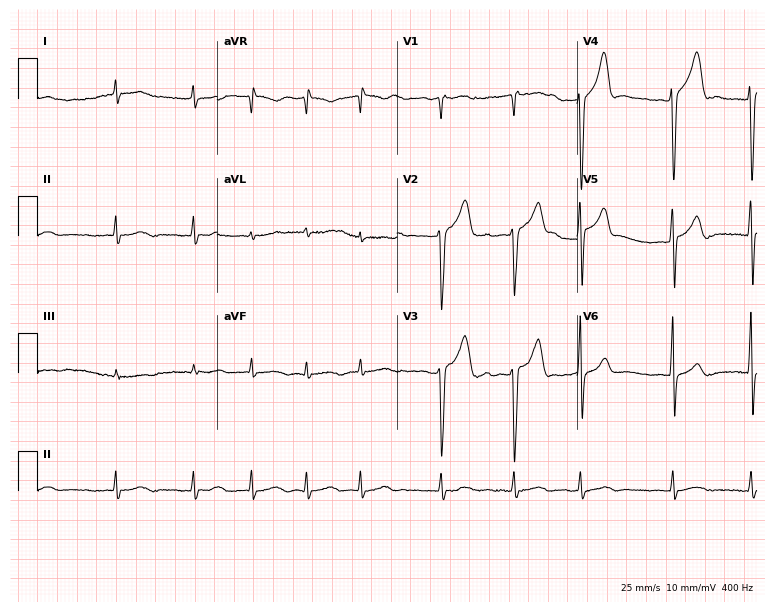
Standard 12-lead ECG recorded from a female, 79 years old. The tracing shows atrial fibrillation.